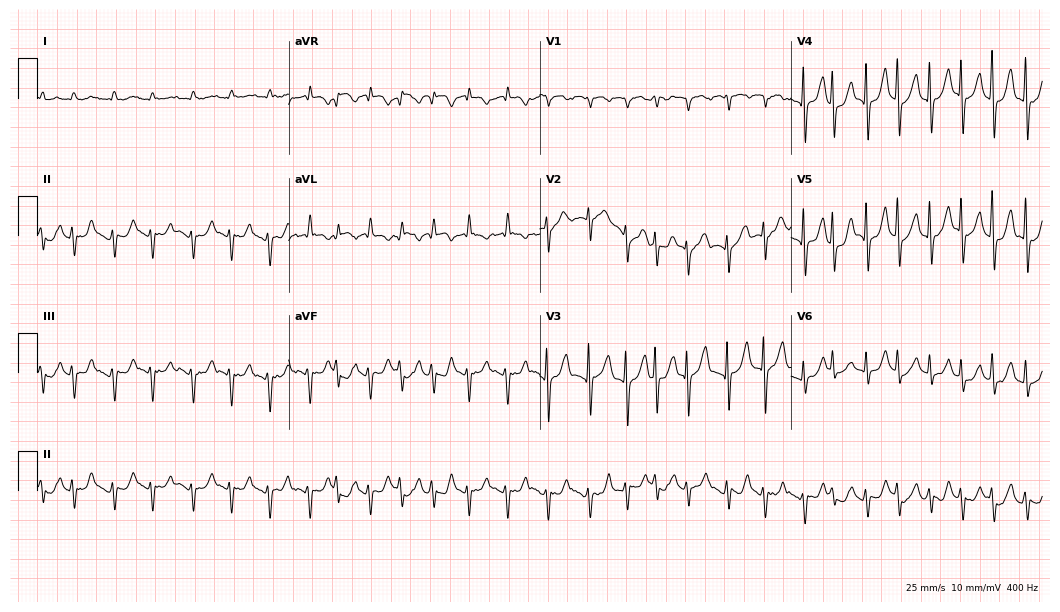
Resting 12-lead electrocardiogram. Patient: a woman, 79 years old. None of these six findings is recorded: first-degree AV block, right bundle branch block, left bundle branch block, sinus bradycardia, atrial fibrillation, sinus tachycardia.